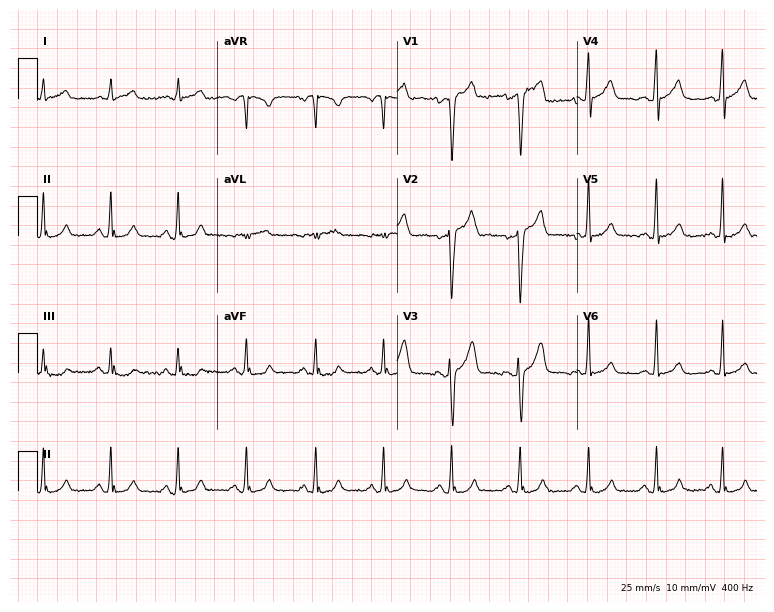
ECG (7.3-second recording at 400 Hz) — a man, 25 years old. Labelled as a normal ECG.